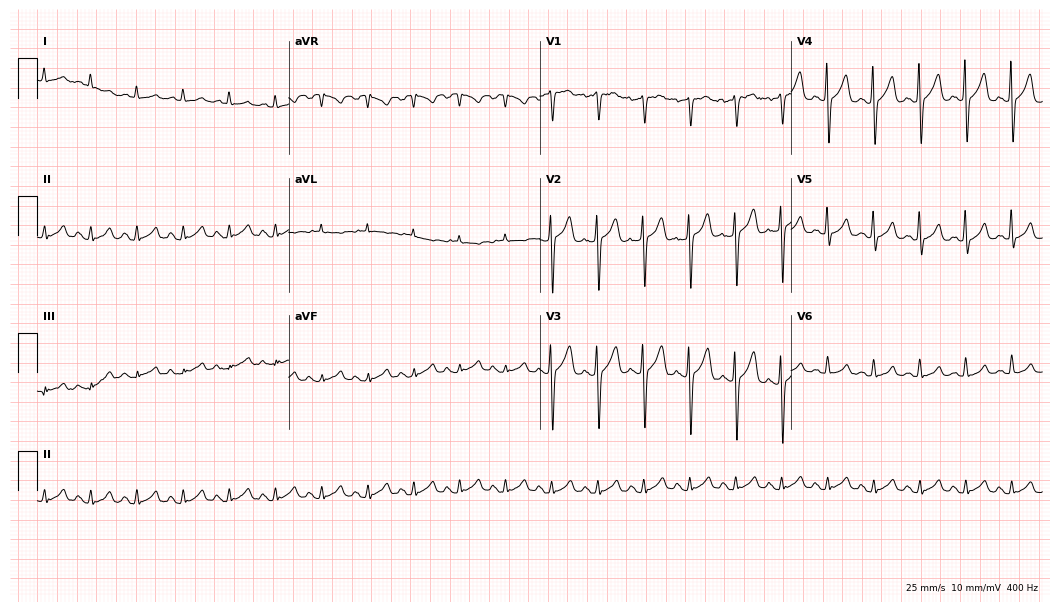
ECG (10.2-second recording at 400 Hz) — a male, 70 years old. Findings include sinus tachycardia (a sinus rate of 100 beats per minute or more).